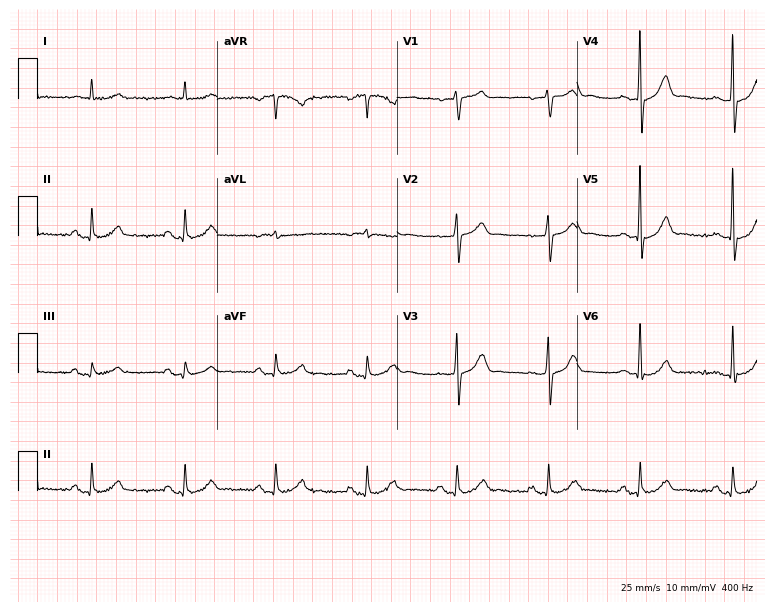
Resting 12-lead electrocardiogram (7.3-second recording at 400 Hz). Patient: a male, 73 years old. None of these six findings is recorded: first-degree AV block, right bundle branch block, left bundle branch block, sinus bradycardia, atrial fibrillation, sinus tachycardia. Findings outside these six are not listed.